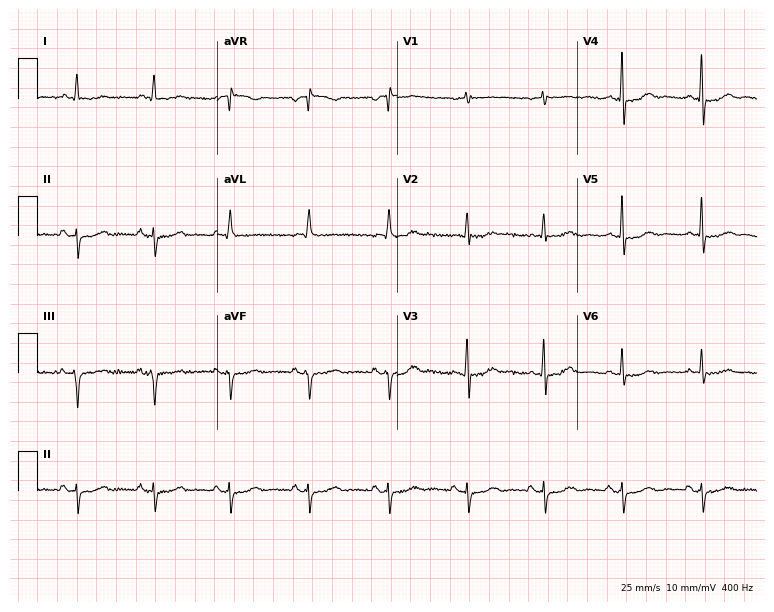
12-lead ECG from a female, 74 years old. Screened for six findings — first-degree AV block, right bundle branch block, left bundle branch block, sinus bradycardia, atrial fibrillation, sinus tachycardia — none is recorded. Findings outside these six are not listed.